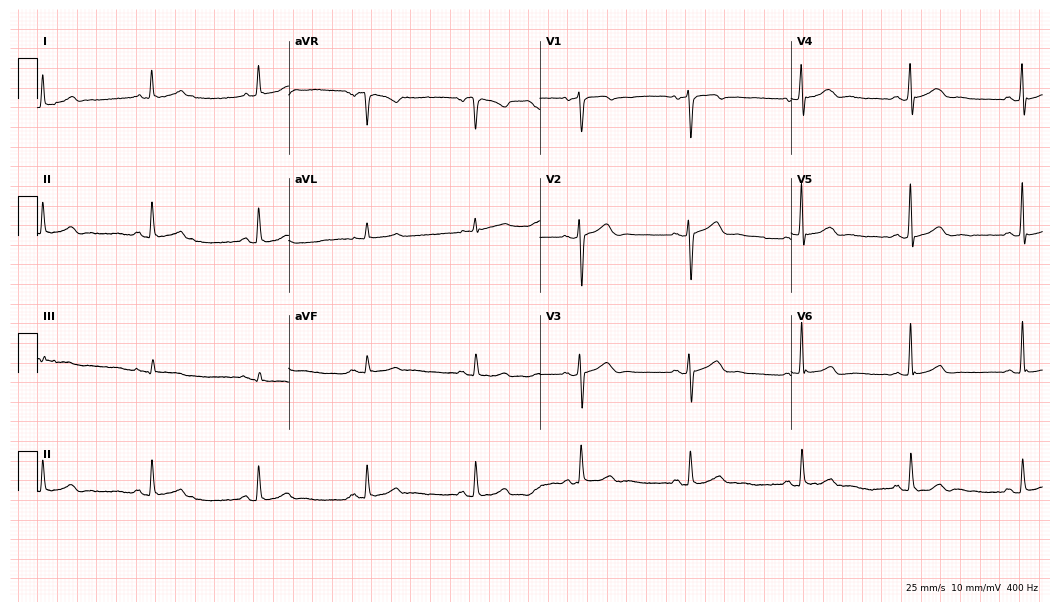
ECG — a man, 67 years old. Labelled as a normal ECG.